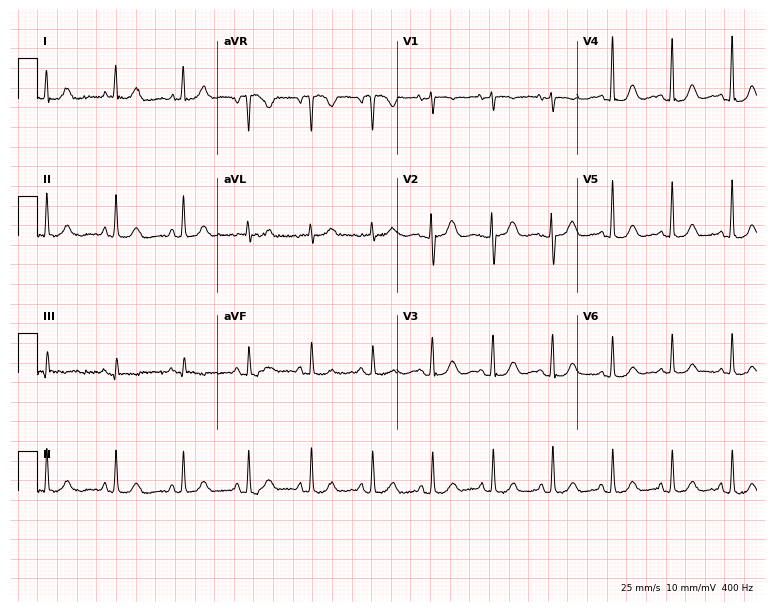
Resting 12-lead electrocardiogram. Patient: a 70-year-old woman. None of these six findings is recorded: first-degree AV block, right bundle branch block, left bundle branch block, sinus bradycardia, atrial fibrillation, sinus tachycardia. Findings outside these six are not listed.